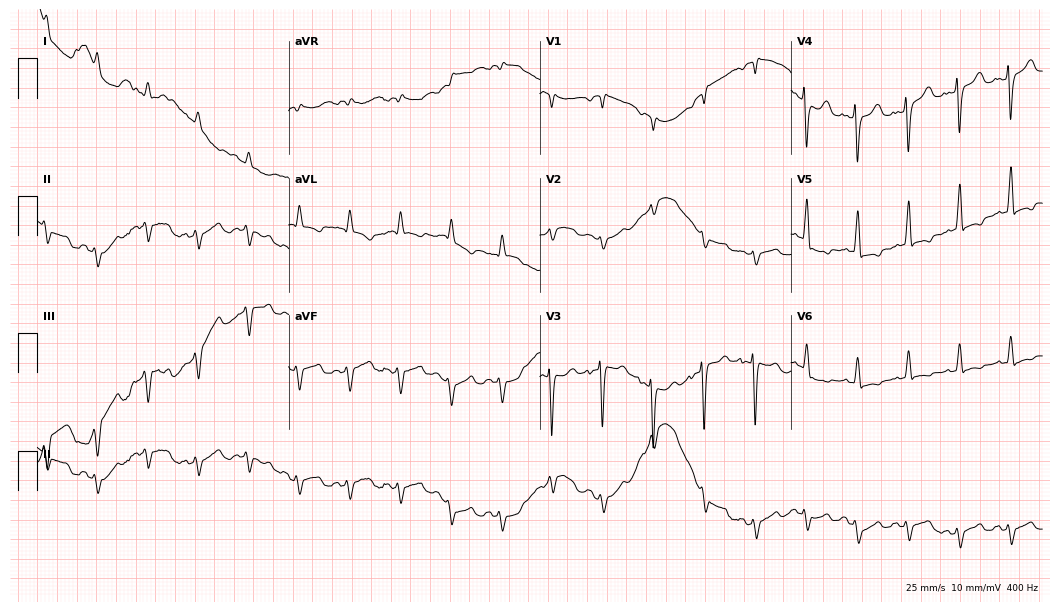
Electrocardiogram (10.2-second recording at 400 Hz), an 80-year-old male. Of the six screened findings (first-degree AV block, right bundle branch block (RBBB), left bundle branch block (LBBB), sinus bradycardia, atrial fibrillation (AF), sinus tachycardia), none is recorded. Other findings, if any, are not listed.